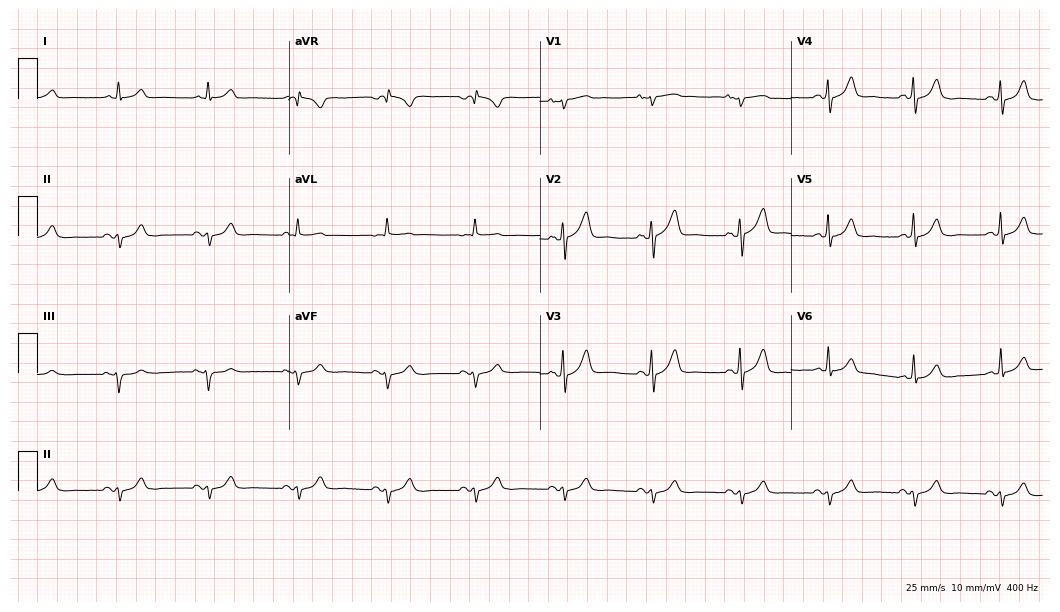
12-lead ECG from a male, 72 years old. No first-degree AV block, right bundle branch block, left bundle branch block, sinus bradycardia, atrial fibrillation or sinus tachycardia recorded for this tracing.